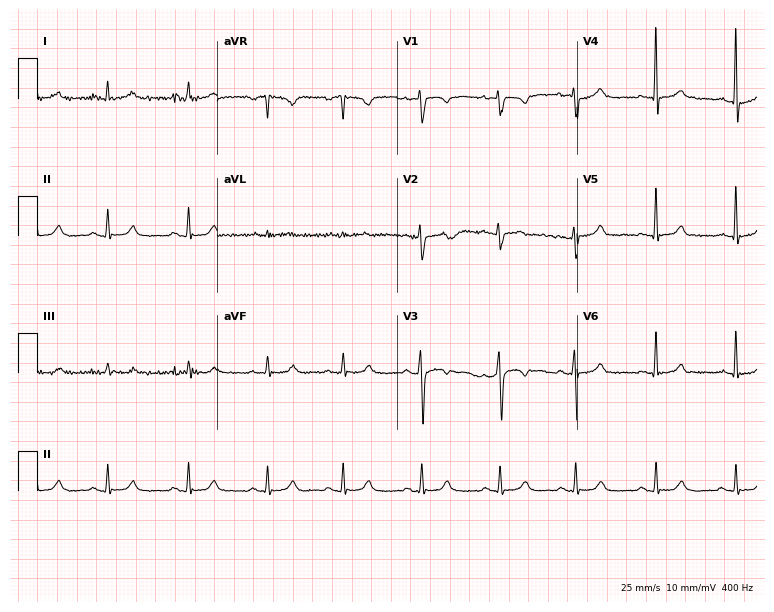
Standard 12-lead ECG recorded from a 31-year-old woman (7.3-second recording at 400 Hz). None of these six findings is recorded: first-degree AV block, right bundle branch block (RBBB), left bundle branch block (LBBB), sinus bradycardia, atrial fibrillation (AF), sinus tachycardia. Findings outside these six are not listed.